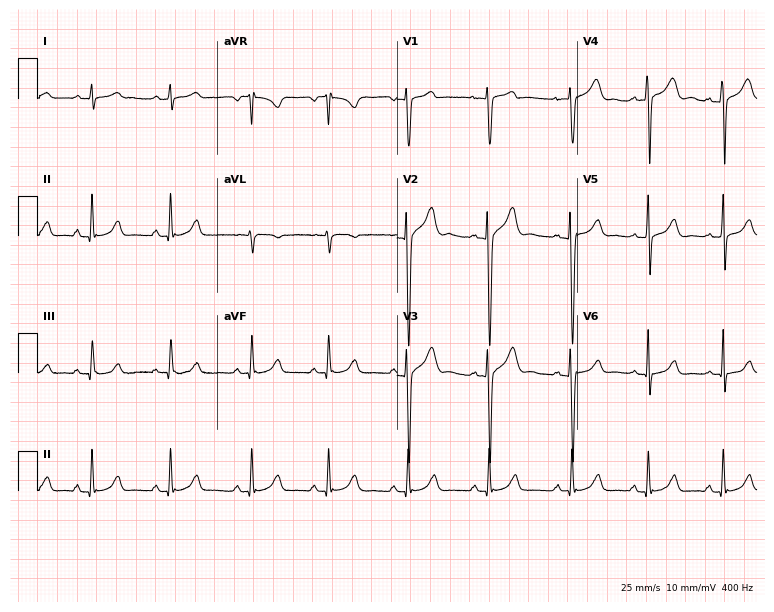
12-lead ECG from a 19-year-old man. No first-degree AV block, right bundle branch block, left bundle branch block, sinus bradycardia, atrial fibrillation or sinus tachycardia recorded for this tracing.